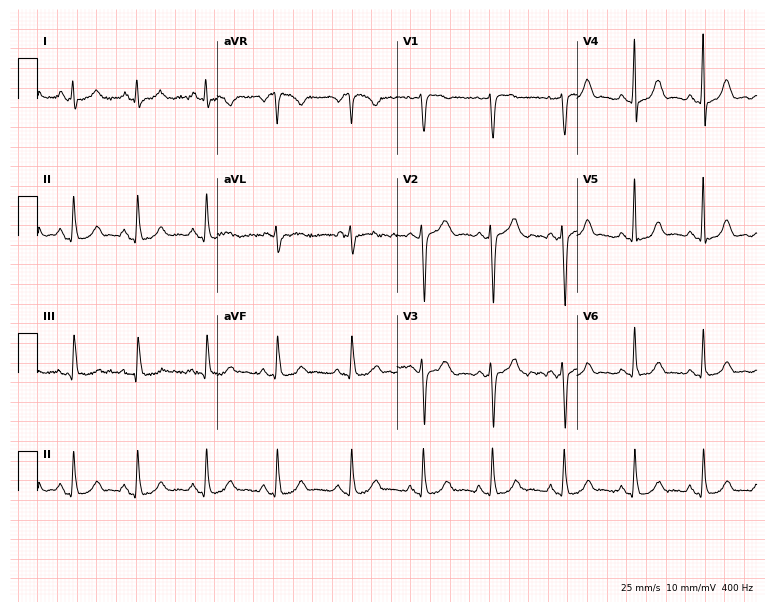
Resting 12-lead electrocardiogram (7.3-second recording at 400 Hz). Patient: a 36-year-old woman. None of these six findings is recorded: first-degree AV block, right bundle branch block (RBBB), left bundle branch block (LBBB), sinus bradycardia, atrial fibrillation (AF), sinus tachycardia.